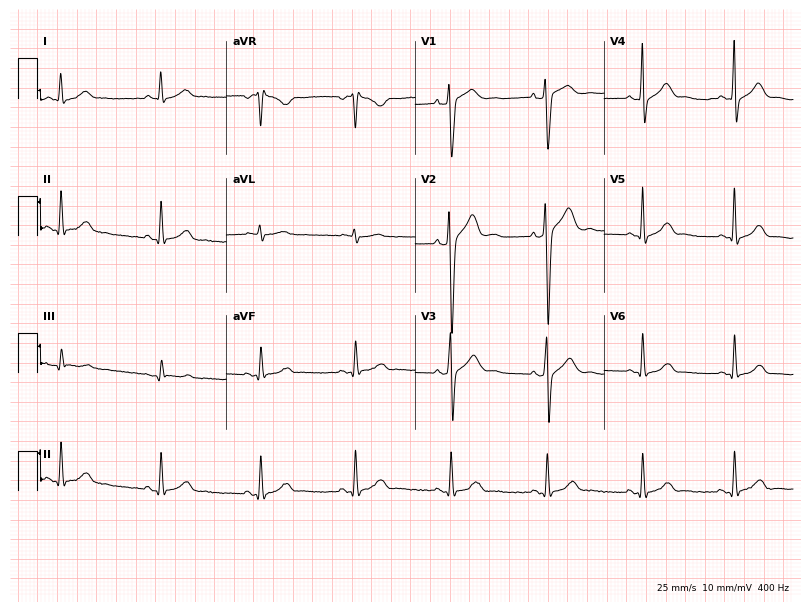
Resting 12-lead electrocardiogram (7.7-second recording at 400 Hz). Patient: a male, 41 years old. Read as a normal ECG.